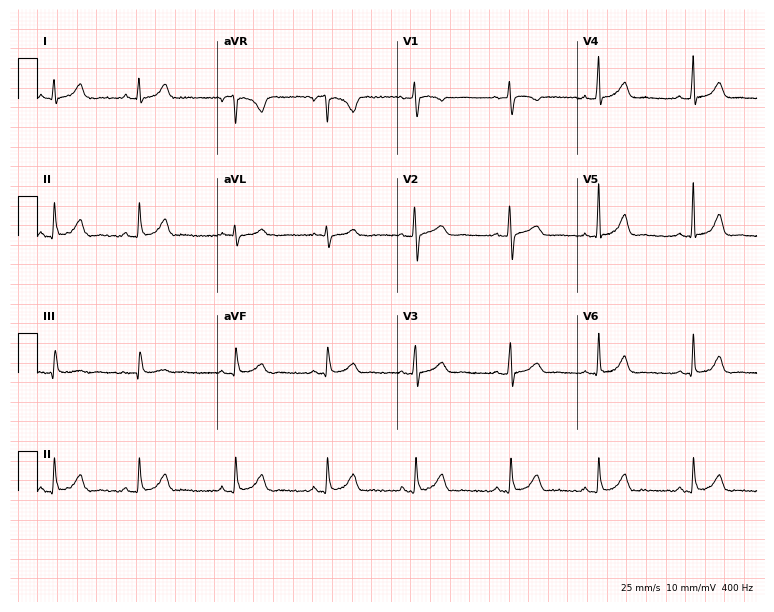
Standard 12-lead ECG recorded from a 35-year-old woman (7.3-second recording at 400 Hz). Read as a normal ECG.